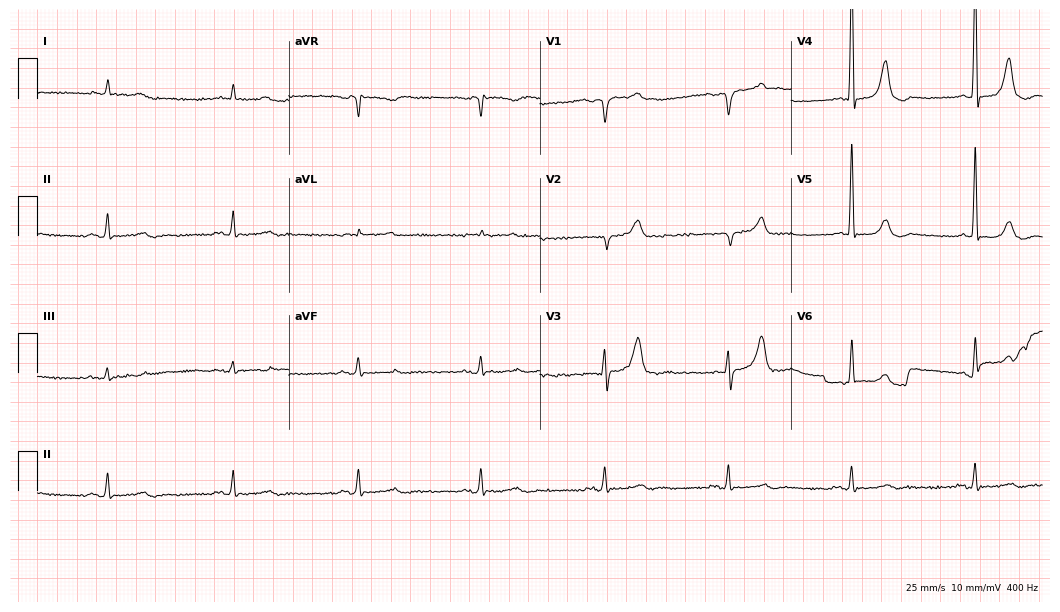
12-lead ECG (10.2-second recording at 400 Hz) from a male, 83 years old. Findings include atrial fibrillation (AF).